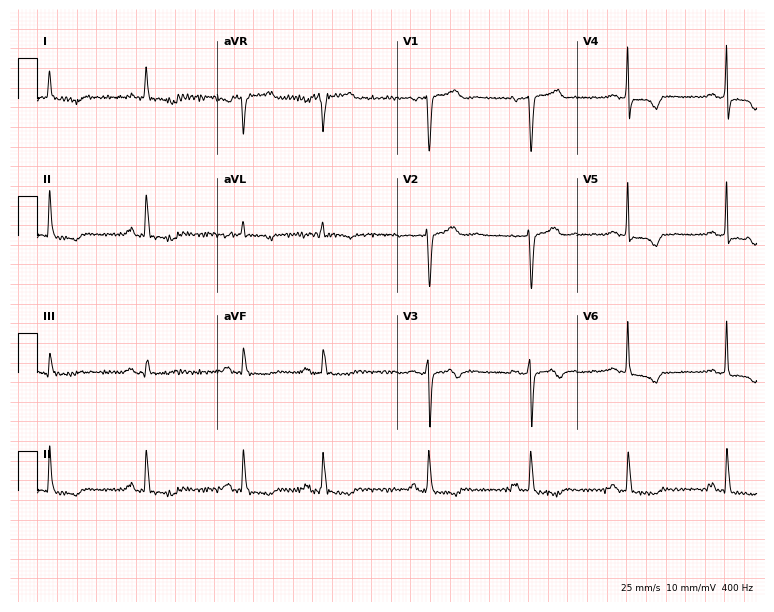
Electrocardiogram (7.3-second recording at 400 Hz), a 70-year-old female patient. Of the six screened findings (first-degree AV block, right bundle branch block (RBBB), left bundle branch block (LBBB), sinus bradycardia, atrial fibrillation (AF), sinus tachycardia), none is recorded. Findings outside these six are not listed.